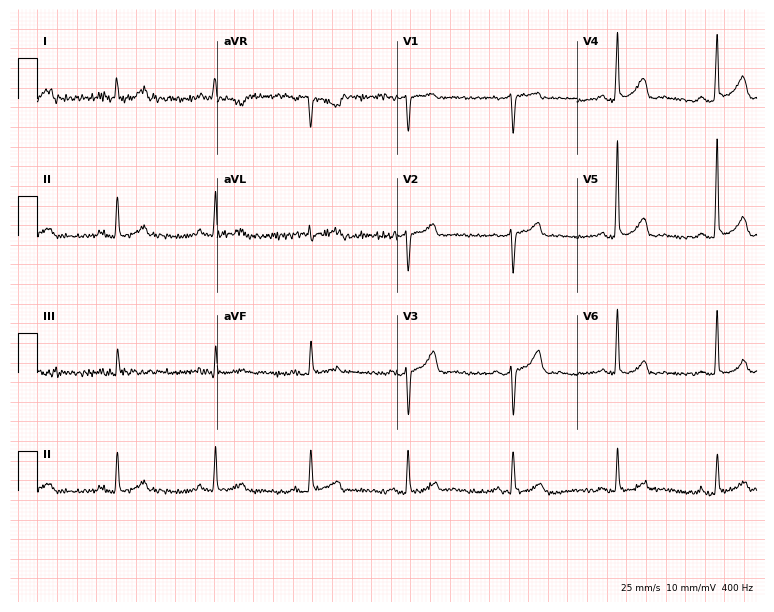
ECG (7.3-second recording at 400 Hz) — a 53-year-old male patient. Screened for six findings — first-degree AV block, right bundle branch block, left bundle branch block, sinus bradycardia, atrial fibrillation, sinus tachycardia — none is recorded.